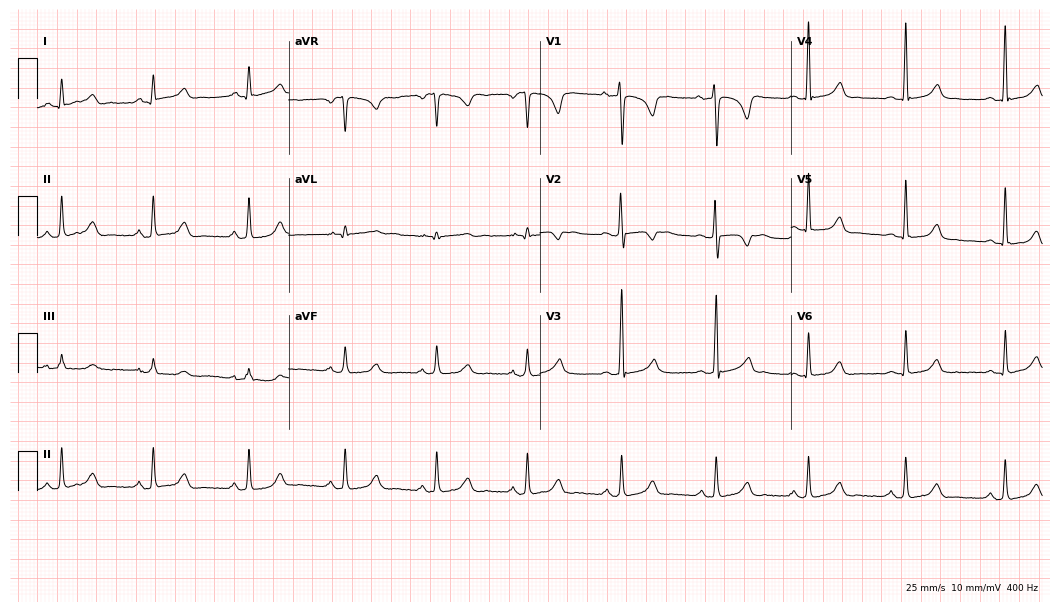
Electrocardiogram, a 30-year-old female patient. Of the six screened findings (first-degree AV block, right bundle branch block, left bundle branch block, sinus bradycardia, atrial fibrillation, sinus tachycardia), none is recorded. Findings outside these six are not listed.